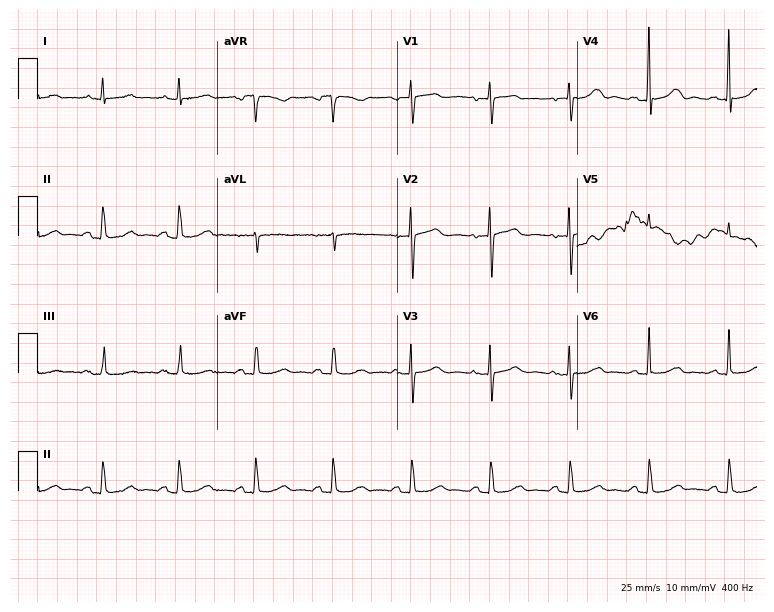
Standard 12-lead ECG recorded from a female, 71 years old. None of these six findings is recorded: first-degree AV block, right bundle branch block, left bundle branch block, sinus bradycardia, atrial fibrillation, sinus tachycardia.